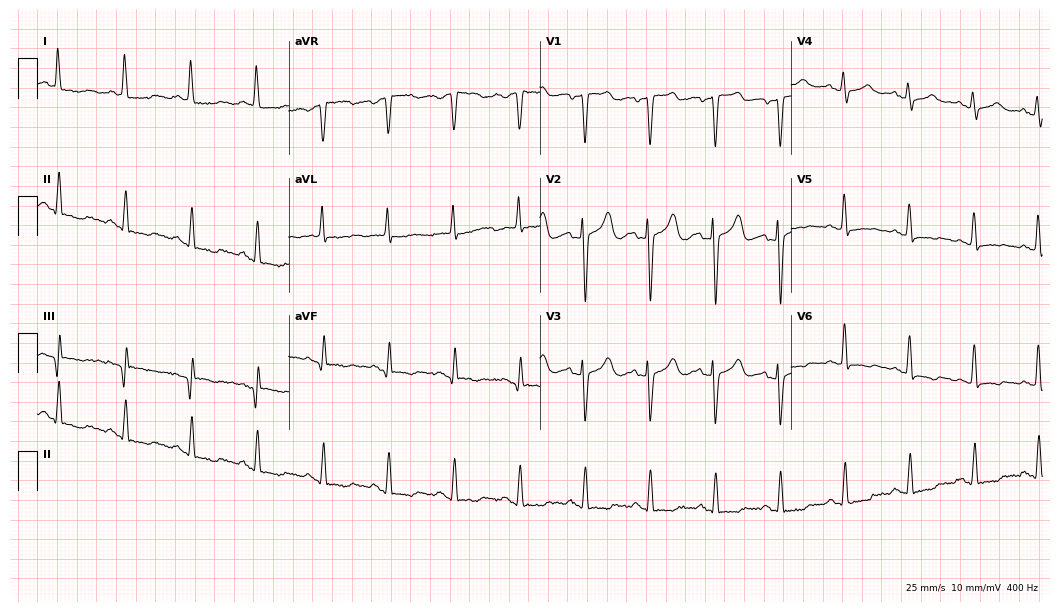
Resting 12-lead electrocardiogram (10.2-second recording at 400 Hz). Patient: a 79-year-old female. None of these six findings is recorded: first-degree AV block, right bundle branch block (RBBB), left bundle branch block (LBBB), sinus bradycardia, atrial fibrillation (AF), sinus tachycardia. Only these six findings were labelled.